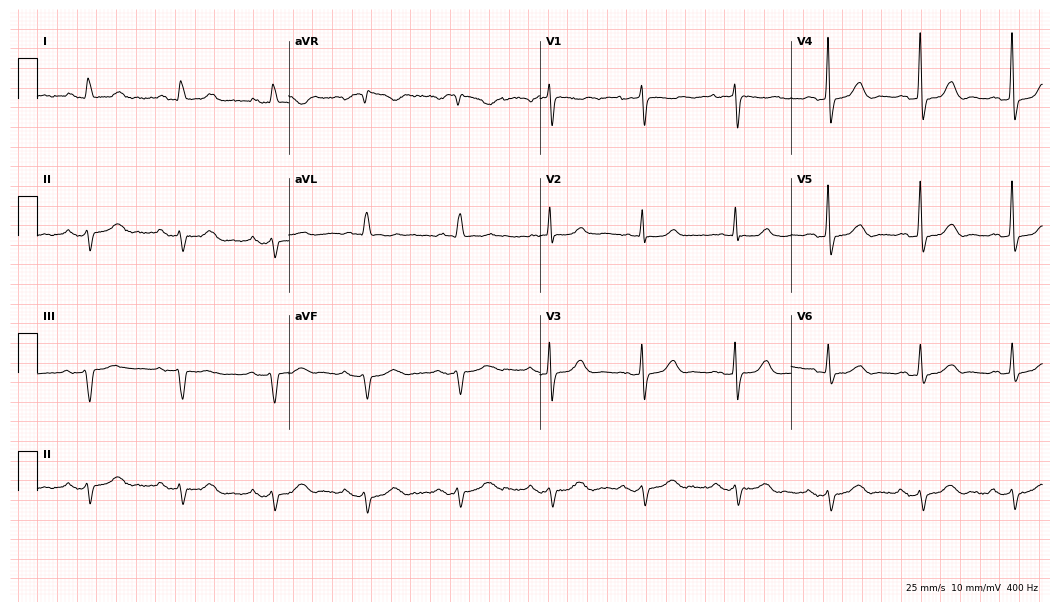
Resting 12-lead electrocardiogram. Patient: a female, 74 years old. None of these six findings is recorded: first-degree AV block, right bundle branch block (RBBB), left bundle branch block (LBBB), sinus bradycardia, atrial fibrillation (AF), sinus tachycardia.